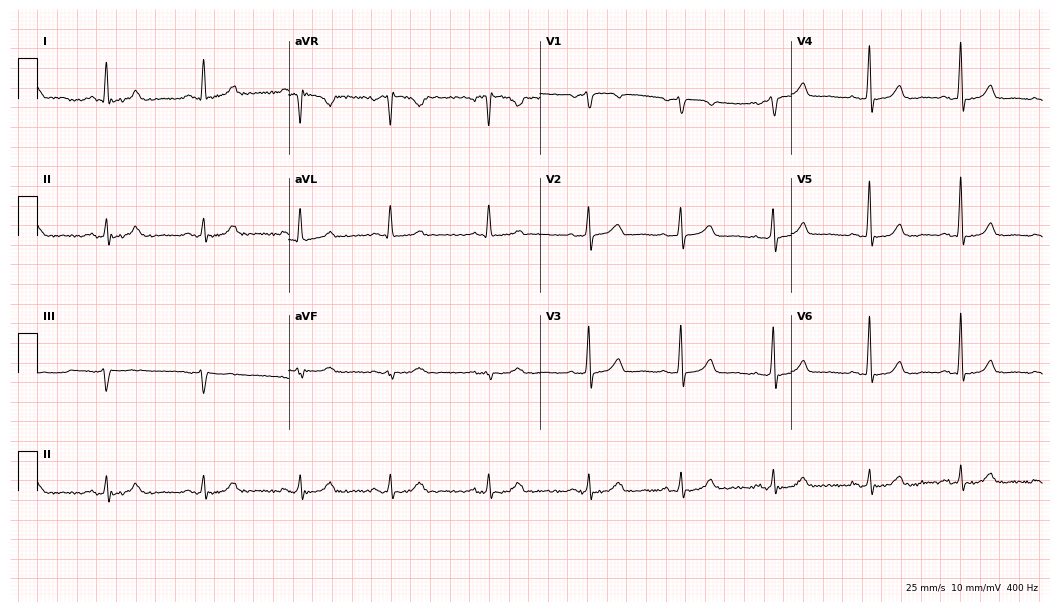
12-lead ECG (10.2-second recording at 400 Hz) from a 58-year-old female. Screened for six findings — first-degree AV block, right bundle branch block, left bundle branch block, sinus bradycardia, atrial fibrillation, sinus tachycardia — none is recorded.